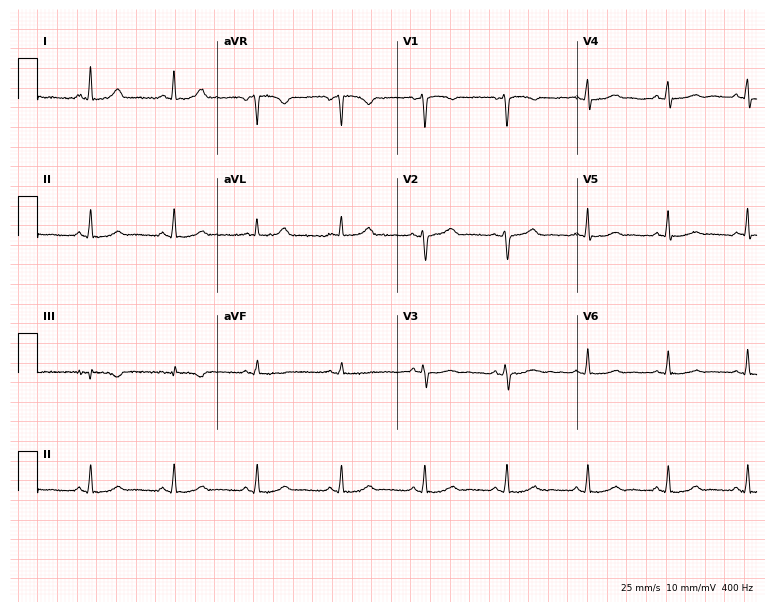
ECG — a female patient, 55 years old. Labelled as a normal ECG.